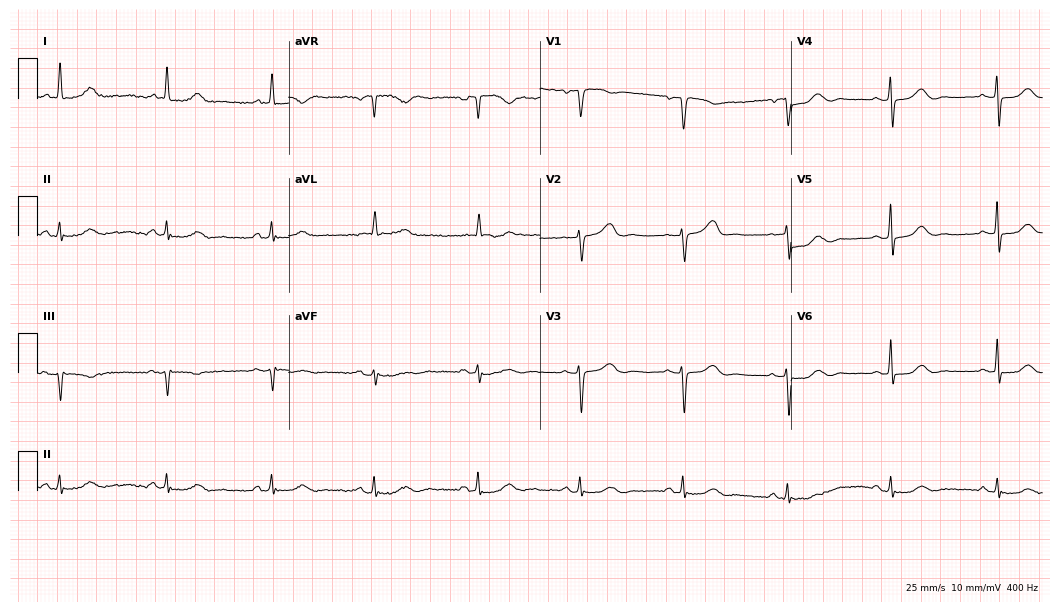
Resting 12-lead electrocardiogram (10.2-second recording at 400 Hz). Patient: a woman, 84 years old. Read as a normal ECG.